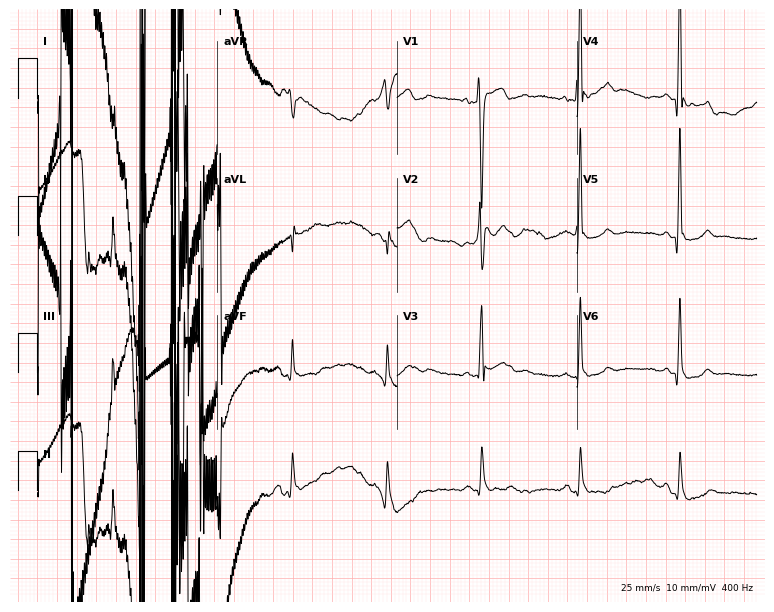
12-lead ECG (7.3-second recording at 400 Hz) from a 28-year-old male patient. Screened for six findings — first-degree AV block, right bundle branch block, left bundle branch block, sinus bradycardia, atrial fibrillation, sinus tachycardia — none is recorded. Other findings, if any, are not listed.